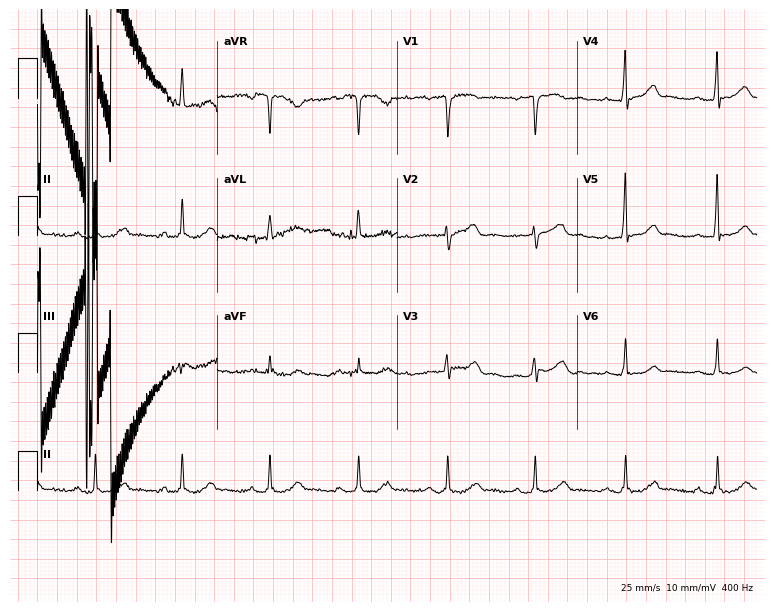
Standard 12-lead ECG recorded from a female, 54 years old. Read as a normal ECG.